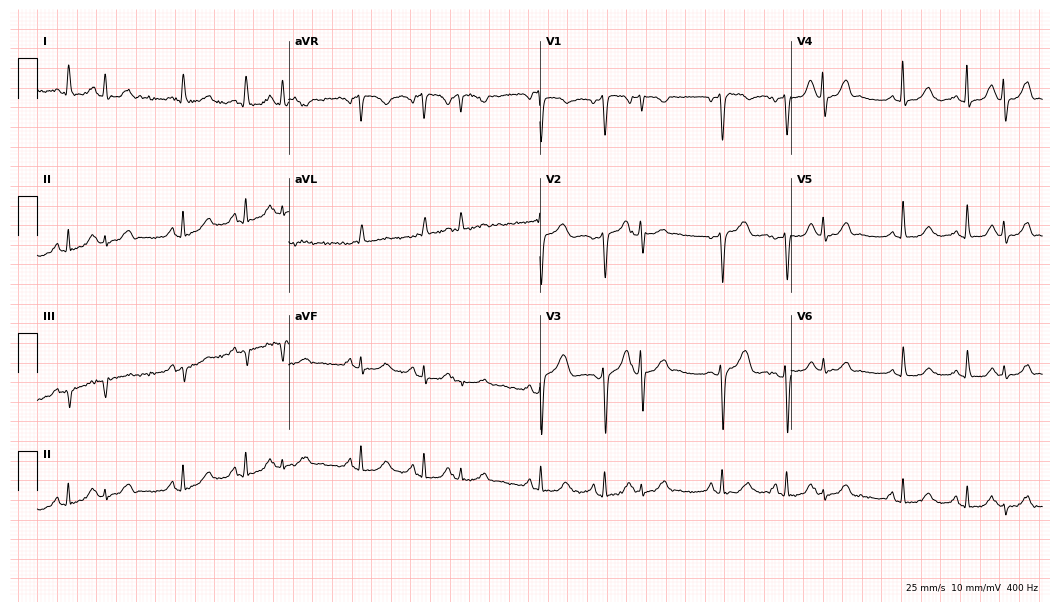
12-lead ECG from a 63-year-old female patient. Screened for six findings — first-degree AV block, right bundle branch block (RBBB), left bundle branch block (LBBB), sinus bradycardia, atrial fibrillation (AF), sinus tachycardia — none is recorded. Other findings, if any, are not listed.